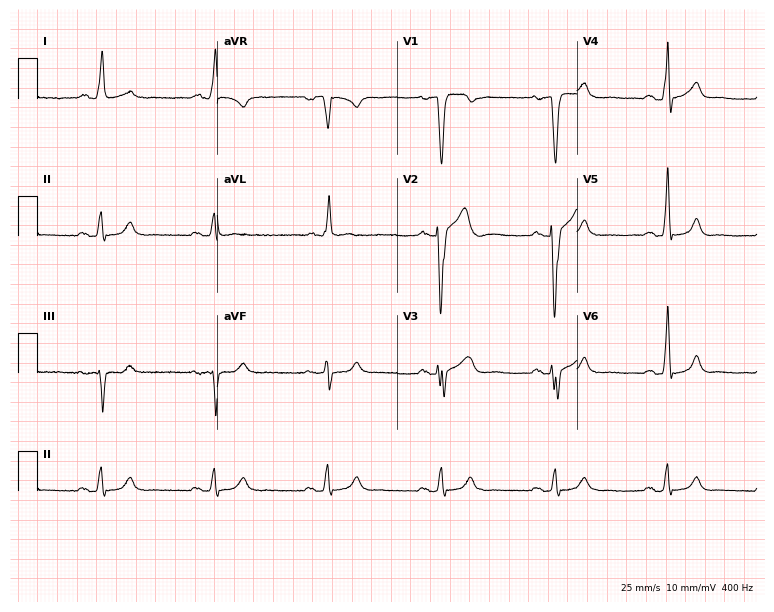
Standard 12-lead ECG recorded from a female, 71 years old (7.3-second recording at 400 Hz). None of these six findings is recorded: first-degree AV block, right bundle branch block, left bundle branch block, sinus bradycardia, atrial fibrillation, sinus tachycardia. Findings outside these six are not listed.